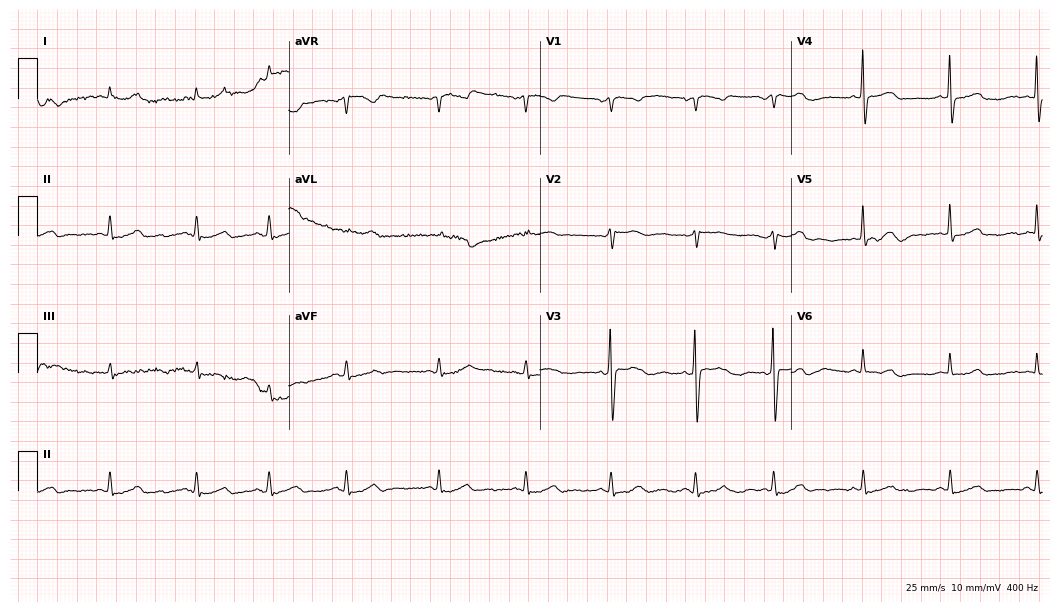
ECG (10.2-second recording at 400 Hz) — a female, 73 years old. Labelled as a normal ECG.